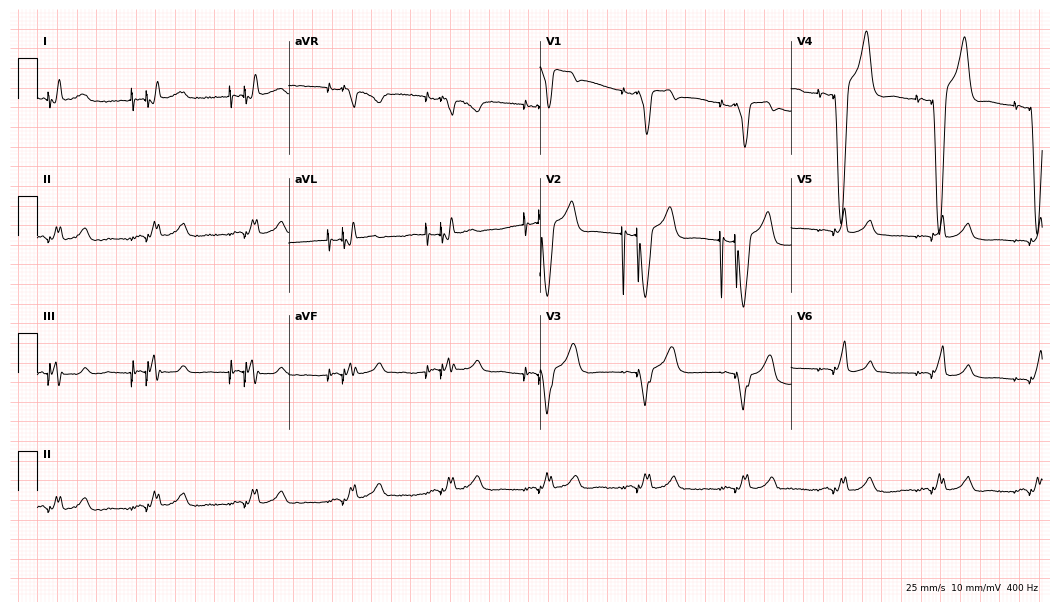
Resting 12-lead electrocardiogram. Patient: a man, 36 years old. None of these six findings is recorded: first-degree AV block, right bundle branch block, left bundle branch block, sinus bradycardia, atrial fibrillation, sinus tachycardia. Findings outside these six are not listed.